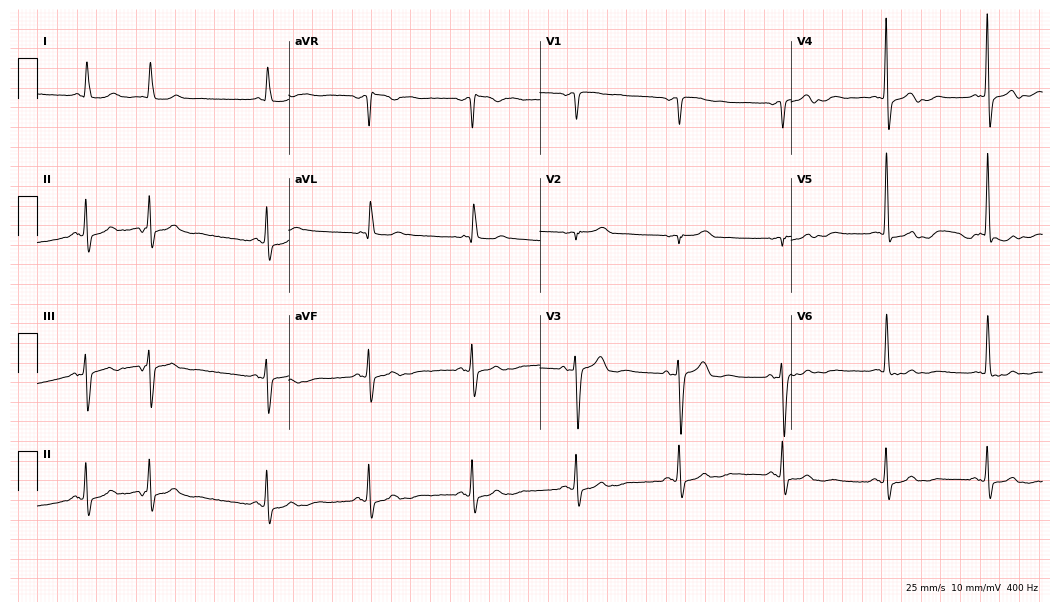
Resting 12-lead electrocardiogram. Patient: a 70-year-old woman. None of these six findings is recorded: first-degree AV block, right bundle branch block (RBBB), left bundle branch block (LBBB), sinus bradycardia, atrial fibrillation (AF), sinus tachycardia. Other findings, if any, are not listed.